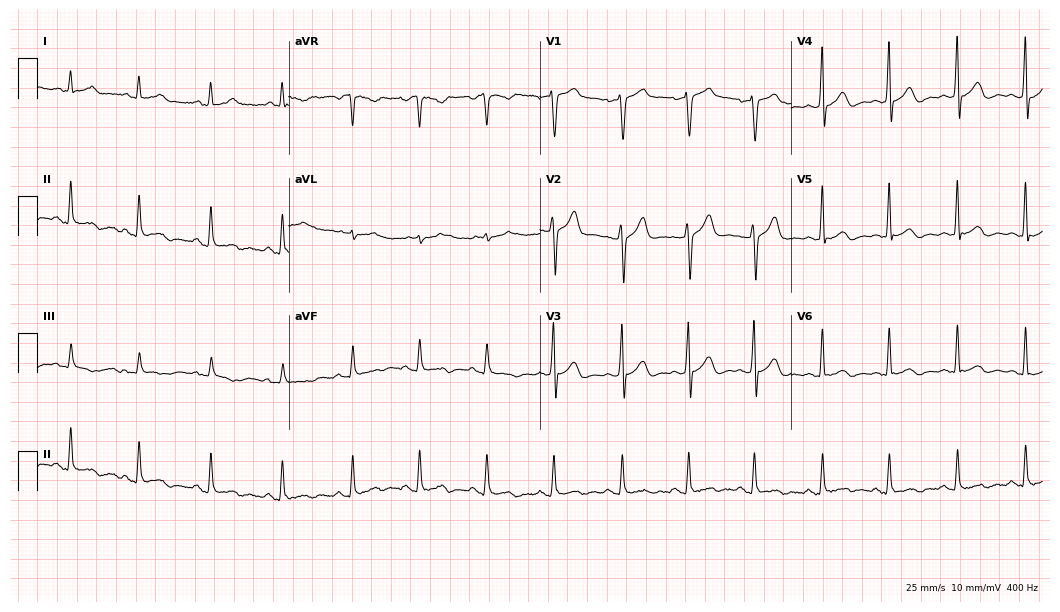
Resting 12-lead electrocardiogram (10.2-second recording at 400 Hz). Patient: a male, 51 years old. None of these six findings is recorded: first-degree AV block, right bundle branch block, left bundle branch block, sinus bradycardia, atrial fibrillation, sinus tachycardia.